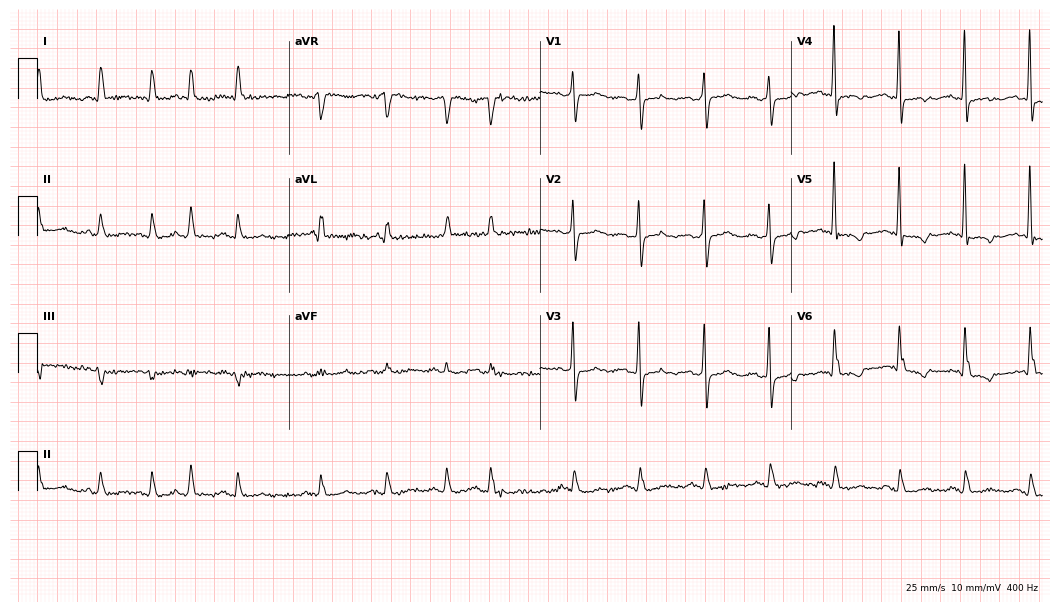
12-lead ECG from a male patient, 73 years old. No first-degree AV block, right bundle branch block, left bundle branch block, sinus bradycardia, atrial fibrillation or sinus tachycardia recorded for this tracing.